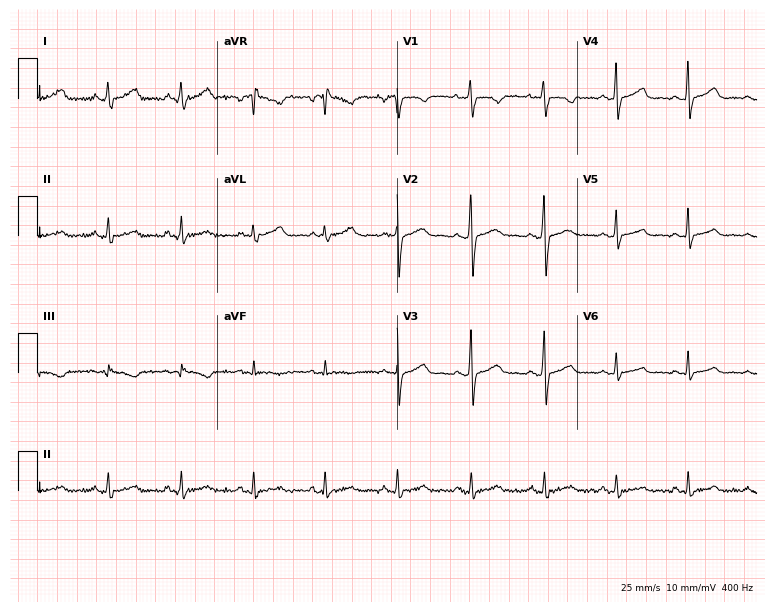
Electrocardiogram (7.3-second recording at 400 Hz), a female, 36 years old. Overall reading on record: normal ECG.